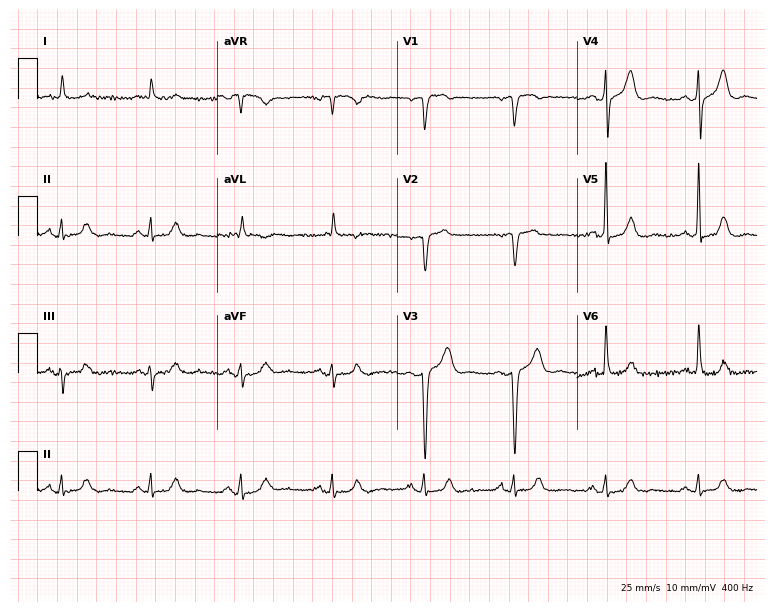
ECG — a male patient, 81 years old. Screened for six findings — first-degree AV block, right bundle branch block (RBBB), left bundle branch block (LBBB), sinus bradycardia, atrial fibrillation (AF), sinus tachycardia — none is recorded. Other findings, if any, are not listed.